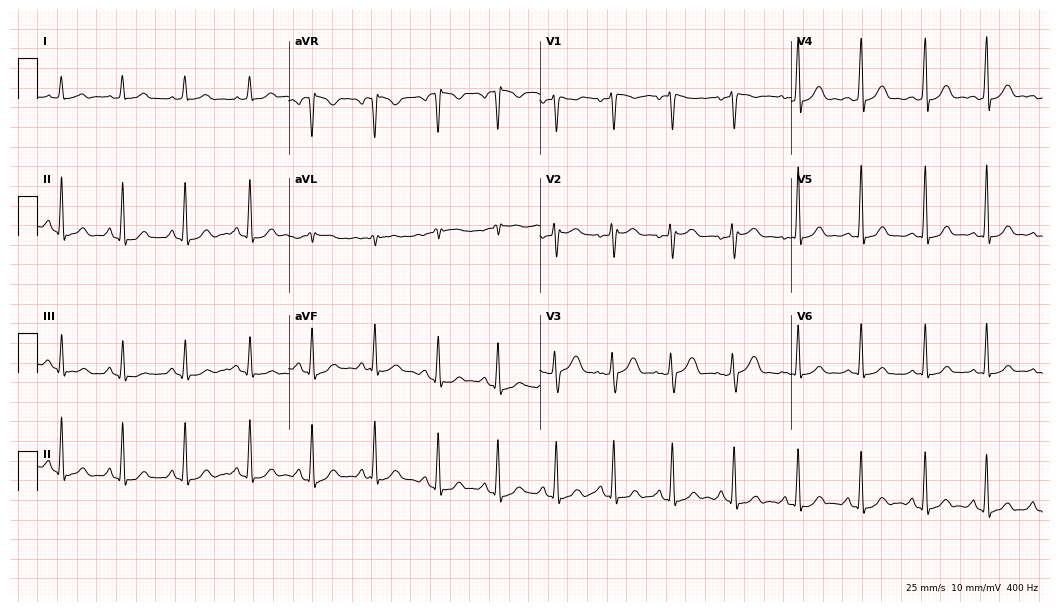
Standard 12-lead ECG recorded from a woman, 38 years old (10.2-second recording at 400 Hz). Read as a normal ECG.